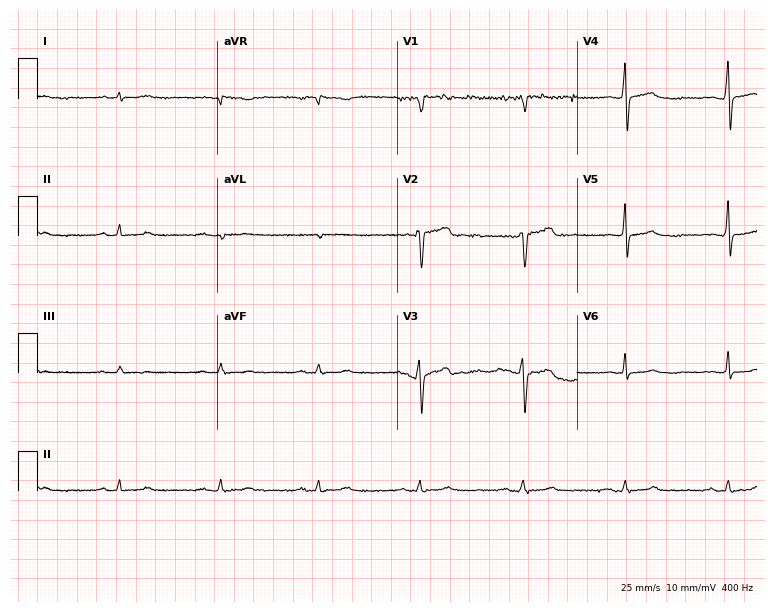
12-lead ECG from a 53-year-old man. Screened for six findings — first-degree AV block, right bundle branch block, left bundle branch block, sinus bradycardia, atrial fibrillation, sinus tachycardia — none is recorded.